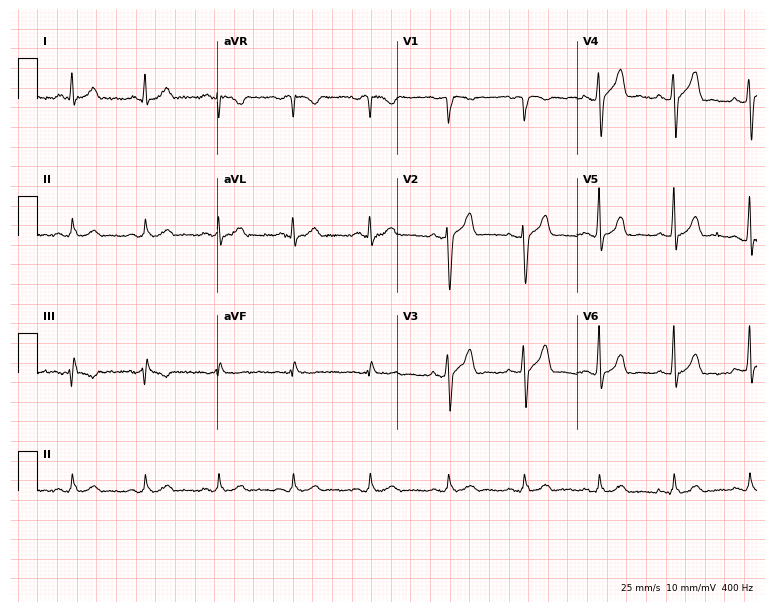
Standard 12-lead ECG recorded from a male, 45 years old (7.3-second recording at 400 Hz). Read as a normal ECG.